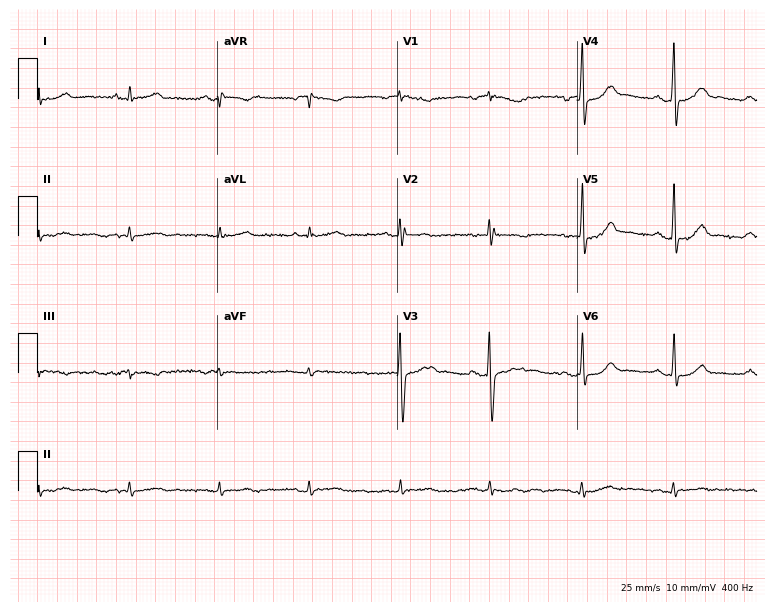
12-lead ECG from a female, 45 years old. Labelled as a normal ECG.